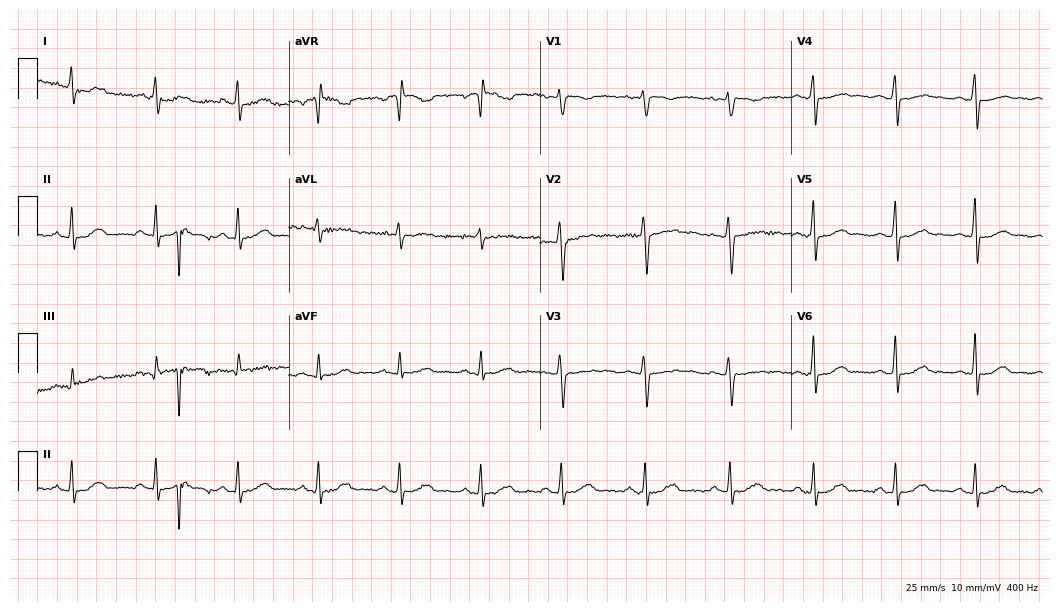
Standard 12-lead ECG recorded from a woman, 43 years old. None of these six findings is recorded: first-degree AV block, right bundle branch block, left bundle branch block, sinus bradycardia, atrial fibrillation, sinus tachycardia.